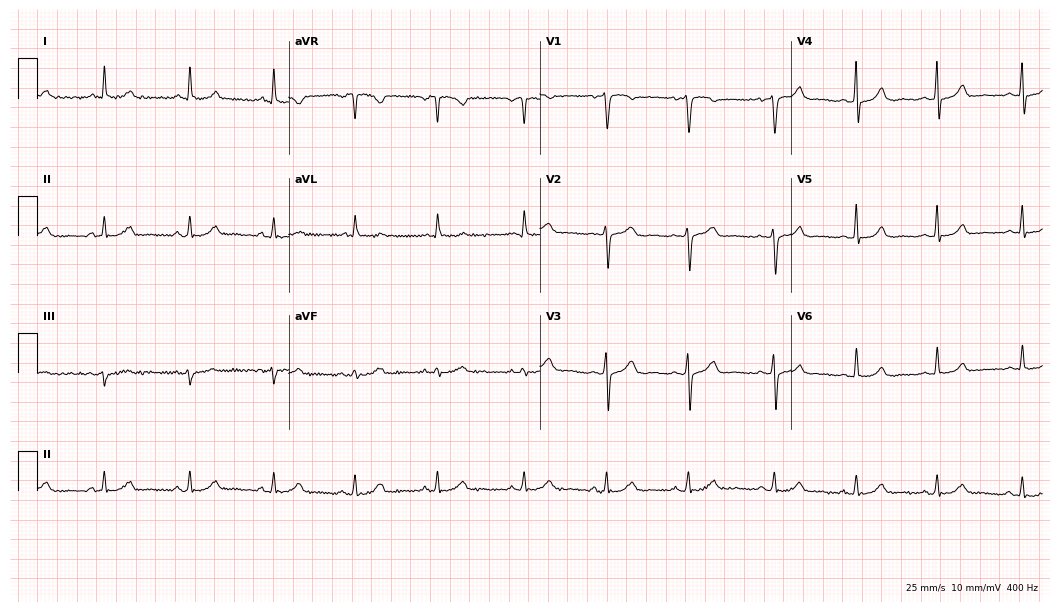
Electrocardiogram (10.2-second recording at 400 Hz), a 44-year-old woman. Overall reading on record: normal ECG.